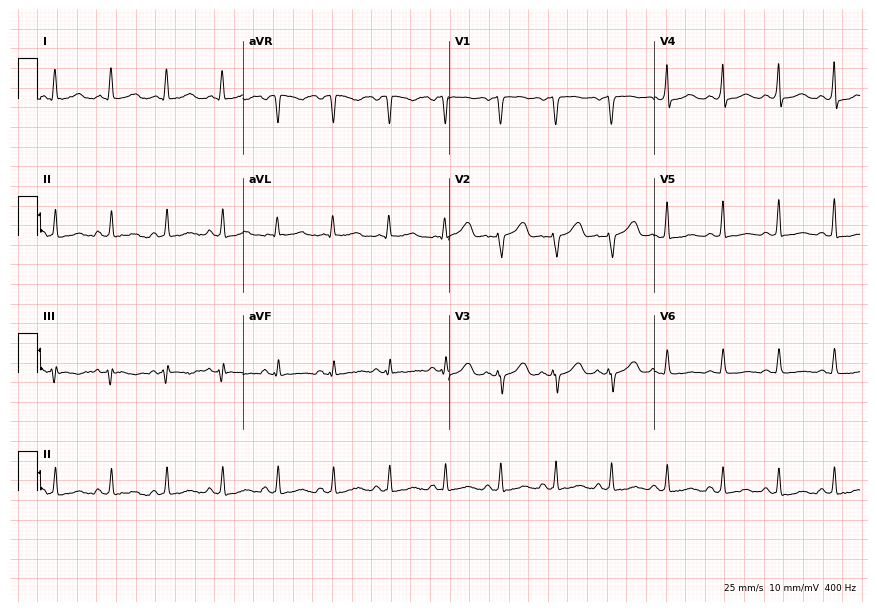
Electrocardiogram, a 62-year-old woman. Interpretation includes sinus tachycardia (a sinus rate of 100 beats per minute or more).